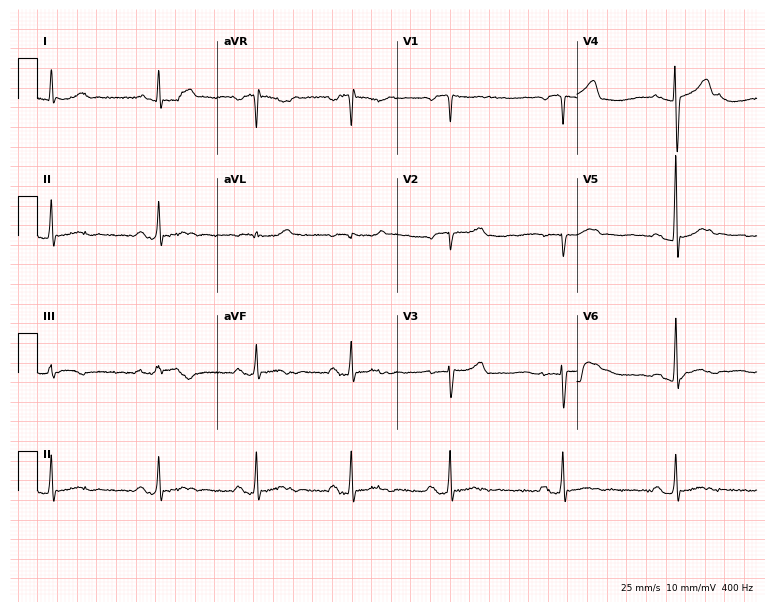
ECG — a male patient, 42 years old. Screened for six findings — first-degree AV block, right bundle branch block (RBBB), left bundle branch block (LBBB), sinus bradycardia, atrial fibrillation (AF), sinus tachycardia — none is recorded. Findings outside these six are not listed.